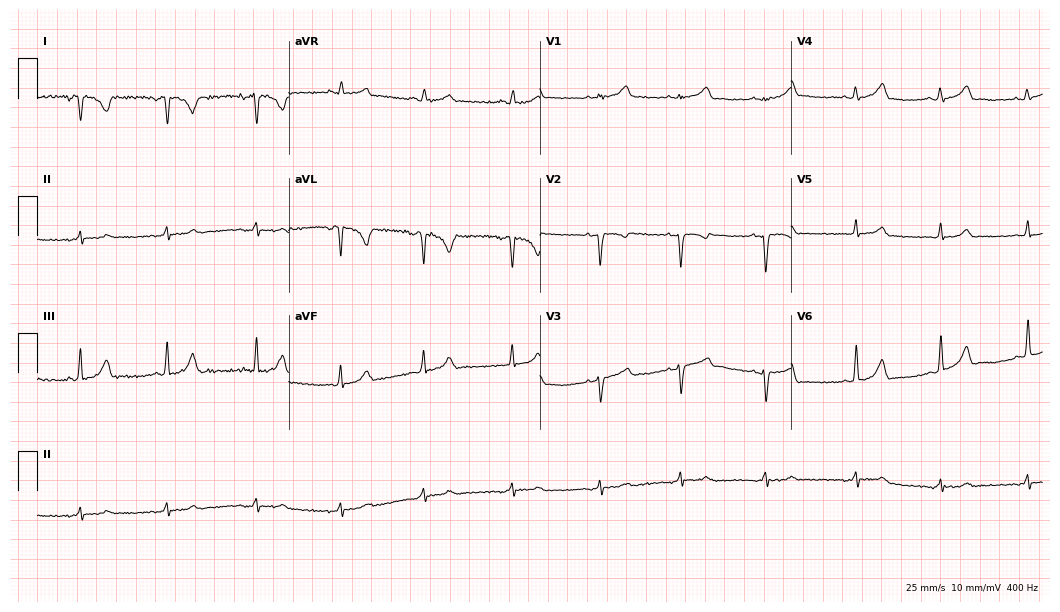
Resting 12-lead electrocardiogram. Patient: a woman, 26 years old. None of these six findings is recorded: first-degree AV block, right bundle branch block, left bundle branch block, sinus bradycardia, atrial fibrillation, sinus tachycardia.